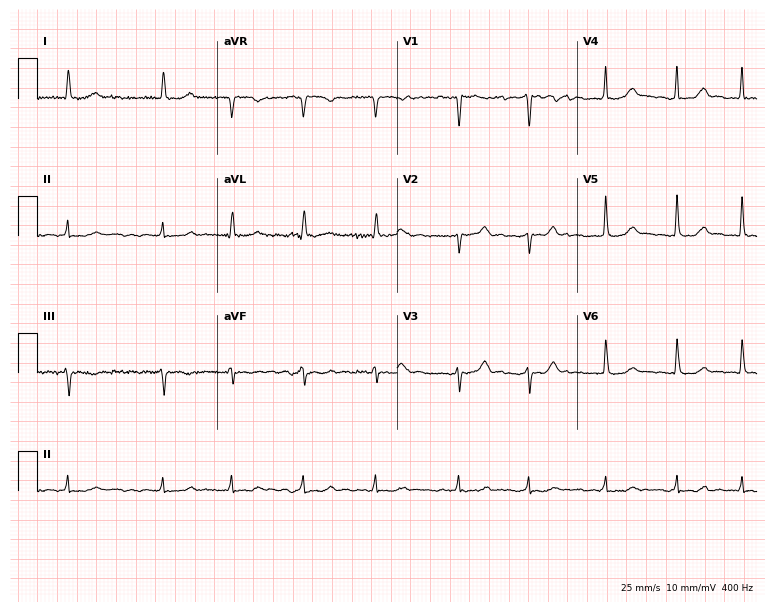
12-lead ECG from a female patient, 77 years old. Shows atrial fibrillation.